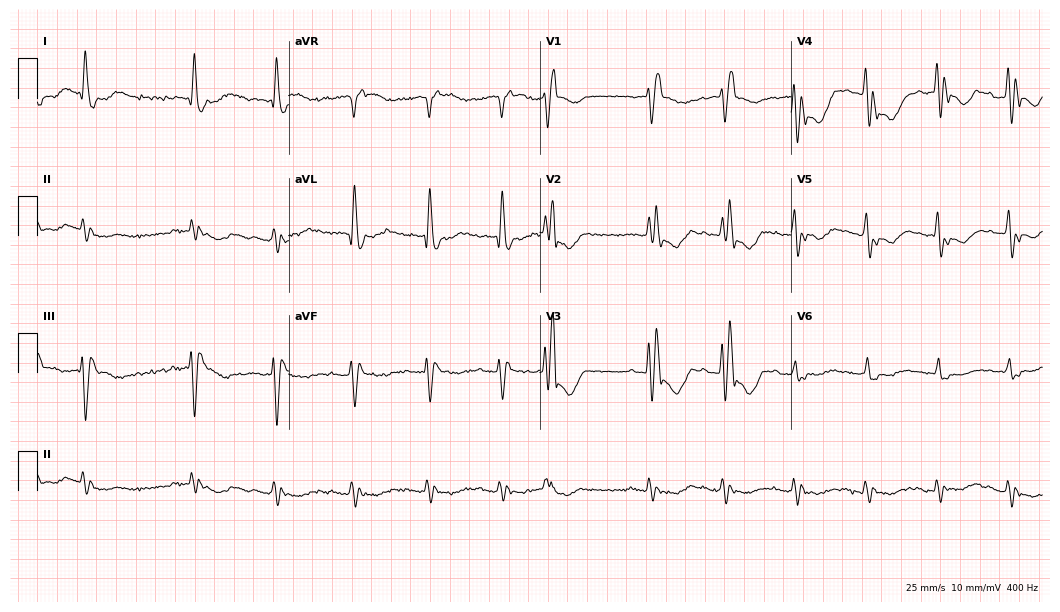
ECG (10.2-second recording at 400 Hz) — an 81-year-old male. Screened for six findings — first-degree AV block, right bundle branch block, left bundle branch block, sinus bradycardia, atrial fibrillation, sinus tachycardia — none is recorded.